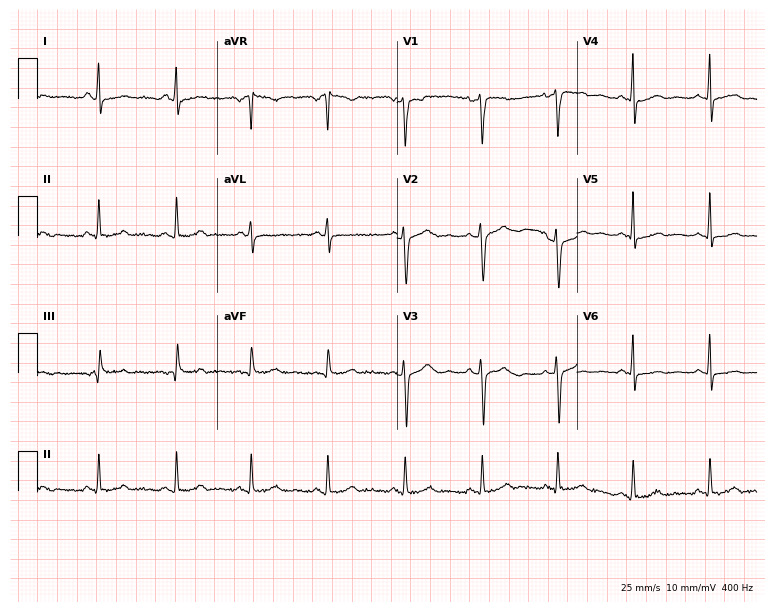
12-lead ECG (7.3-second recording at 400 Hz) from an 18-year-old female. Screened for six findings — first-degree AV block, right bundle branch block, left bundle branch block, sinus bradycardia, atrial fibrillation, sinus tachycardia — none is recorded.